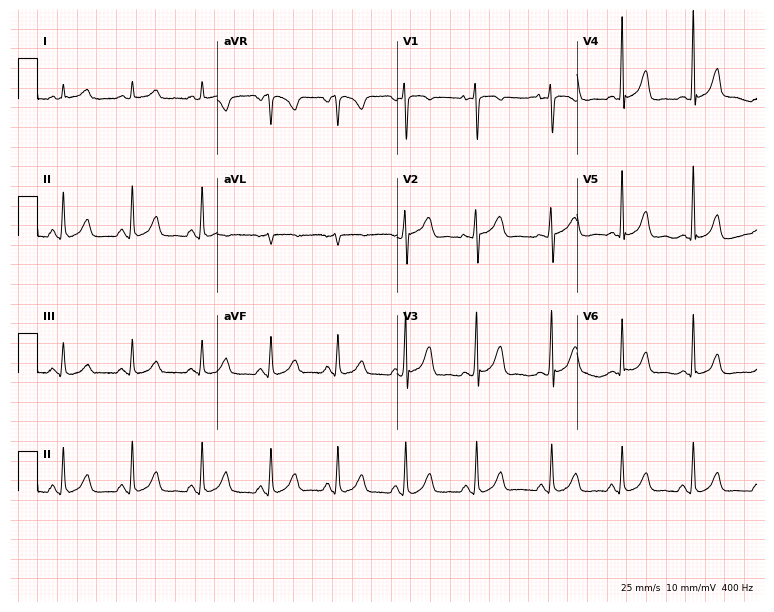
Standard 12-lead ECG recorded from a female, 27 years old (7.3-second recording at 400 Hz). None of these six findings is recorded: first-degree AV block, right bundle branch block, left bundle branch block, sinus bradycardia, atrial fibrillation, sinus tachycardia. Other findings, if any, are not listed.